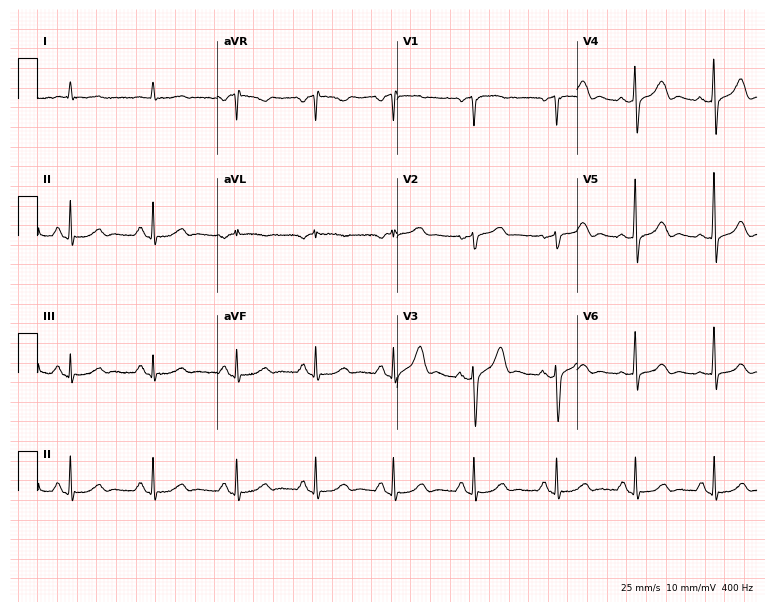
Electrocardiogram (7.3-second recording at 400 Hz), a 74-year-old man. Of the six screened findings (first-degree AV block, right bundle branch block, left bundle branch block, sinus bradycardia, atrial fibrillation, sinus tachycardia), none is recorded. Only these six findings were labelled.